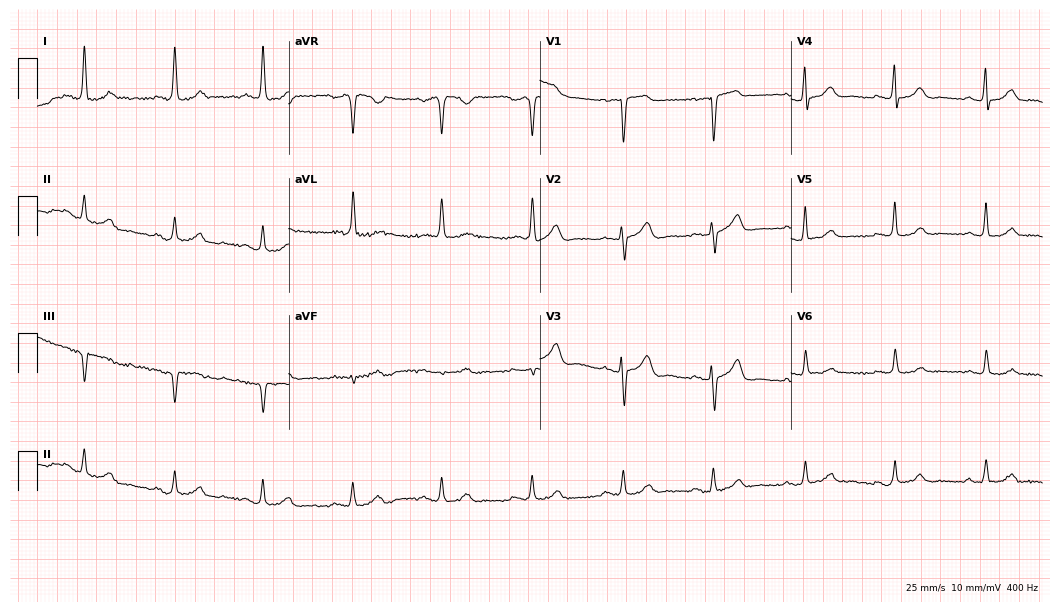
Standard 12-lead ECG recorded from a woman, 82 years old. None of these six findings is recorded: first-degree AV block, right bundle branch block, left bundle branch block, sinus bradycardia, atrial fibrillation, sinus tachycardia.